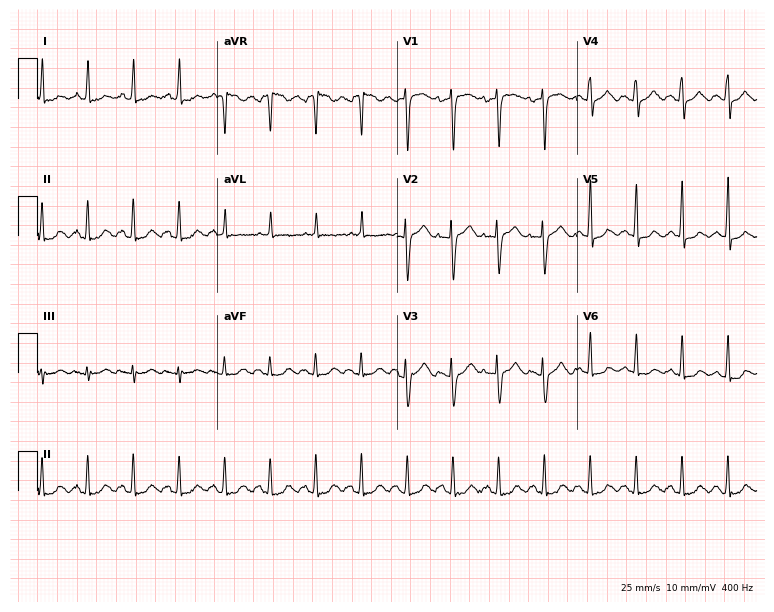
Resting 12-lead electrocardiogram (7.3-second recording at 400 Hz). Patient: a woman, 68 years old. The tracing shows sinus tachycardia (a sinus rate of 100 beats per minute or more).